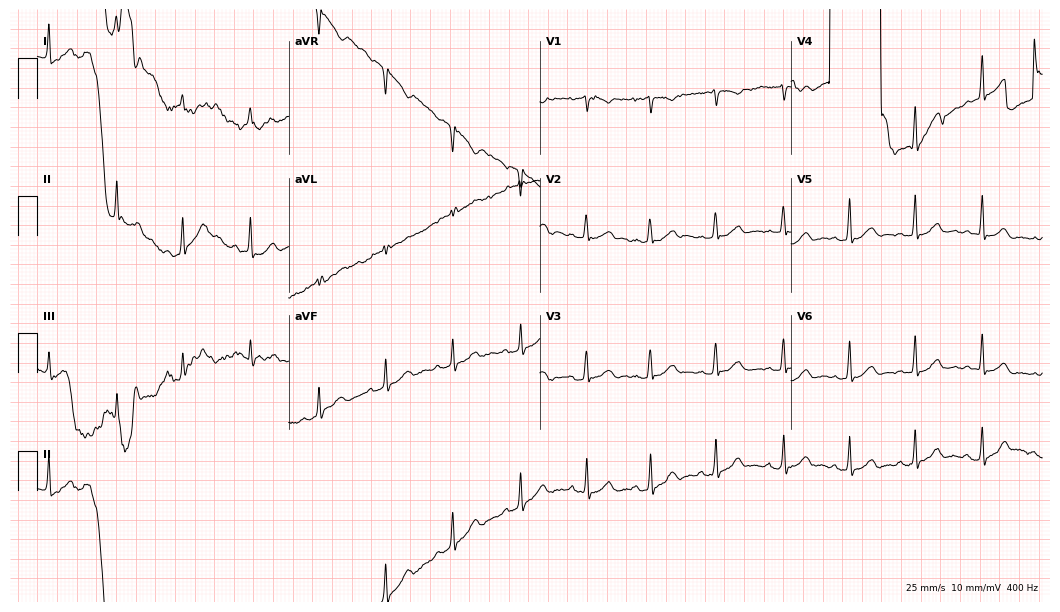
12-lead ECG from a 20-year-old female patient (10.2-second recording at 400 Hz). No first-degree AV block, right bundle branch block (RBBB), left bundle branch block (LBBB), sinus bradycardia, atrial fibrillation (AF) or sinus tachycardia recorded for this tracing.